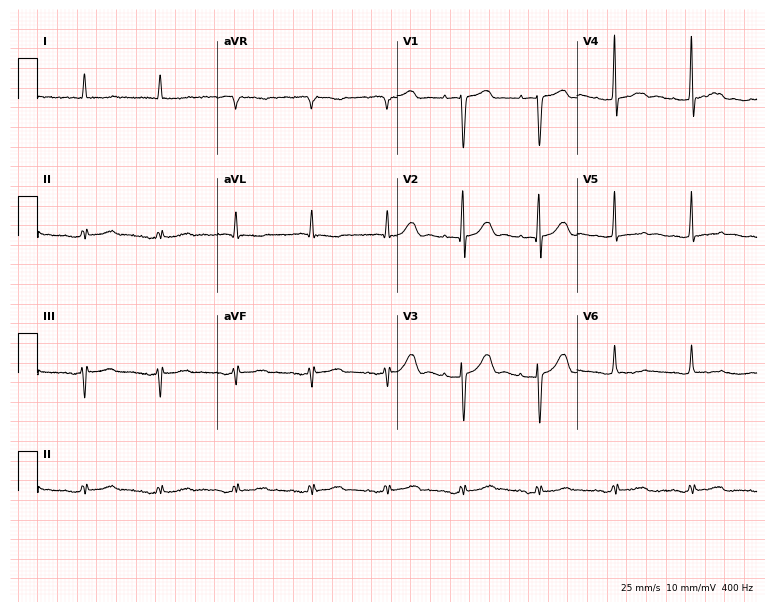
Electrocardiogram, a 78-year-old female patient. Of the six screened findings (first-degree AV block, right bundle branch block (RBBB), left bundle branch block (LBBB), sinus bradycardia, atrial fibrillation (AF), sinus tachycardia), none is recorded. Other findings, if any, are not listed.